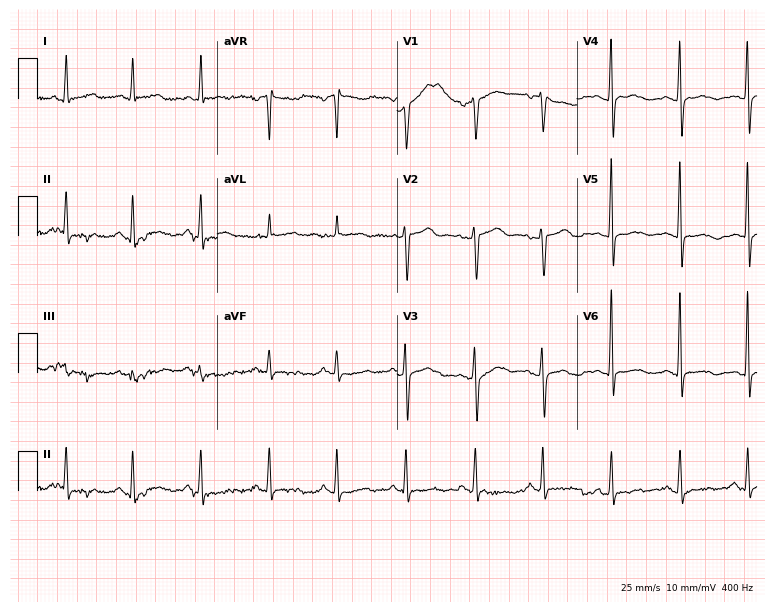
ECG — a woman, 56 years old. Screened for six findings — first-degree AV block, right bundle branch block, left bundle branch block, sinus bradycardia, atrial fibrillation, sinus tachycardia — none is recorded. Findings outside these six are not listed.